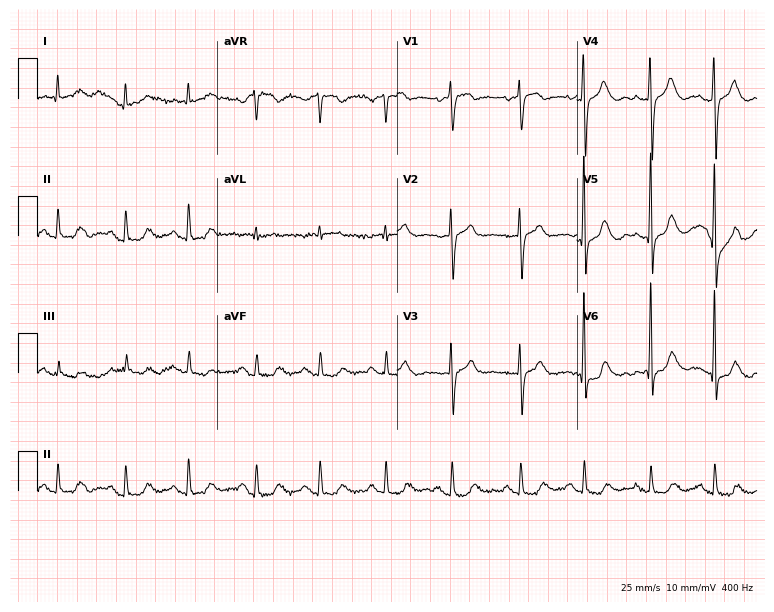
ECG (7.3-second recording at 400 Hz) — a female, 78 years old. Screened for six findings — first-degree AV block, right bundle branch block (RBBB), left bundle branch block (LBBB), sinus bradycardia, atrial fibrillation (AF), sinus tachycardia — none is recorded.